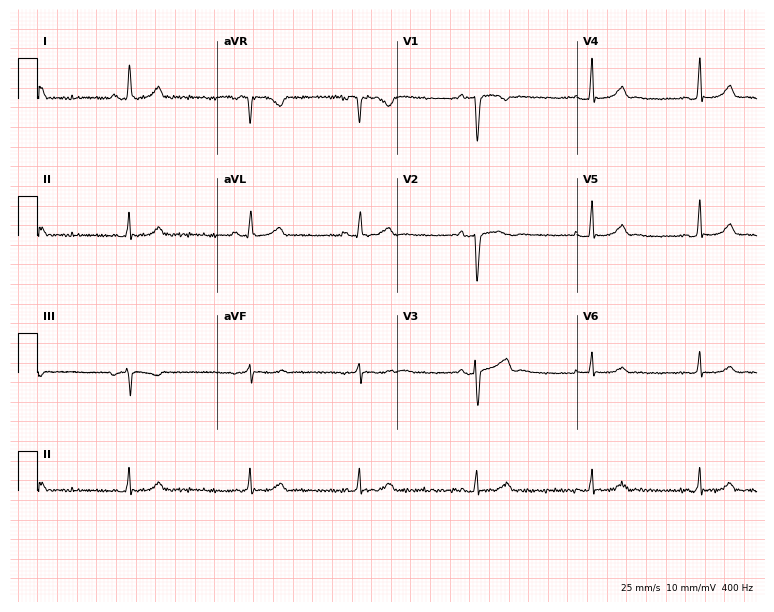
Resting 12-lead electrocardiogram (7.3-second recording at 400 Hz). Patient: a woman, 26 years old. Read as a normal ECG.